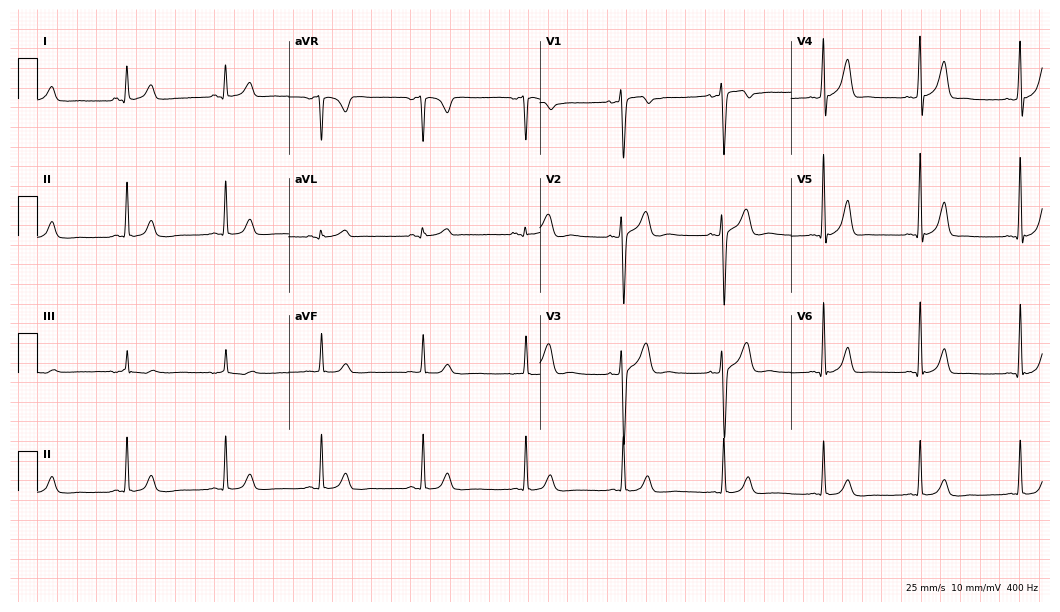
Standard 12-lead ECG recorded from a man, 22 years old (10.2-second recording at 400 Hz). Read as a normal ECG.